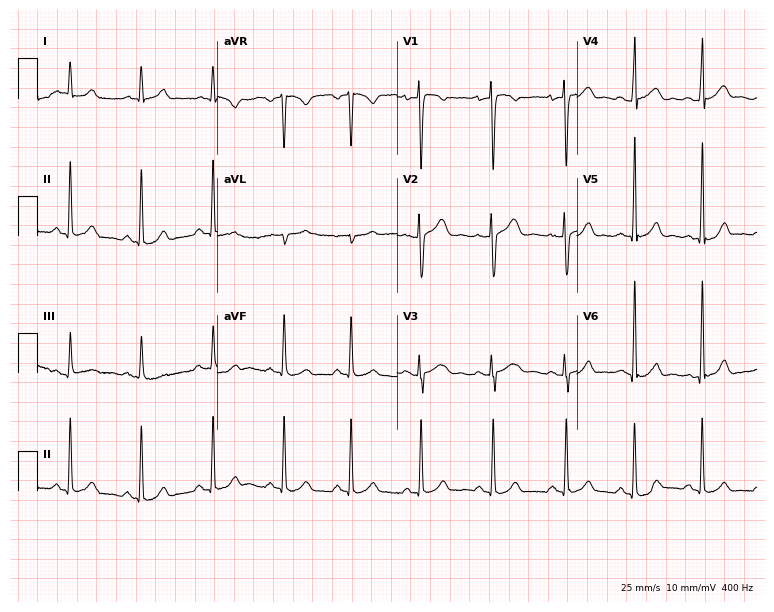
Resting 12-lead electrocardiogram. Patient: a 21-year-old female. Read as a normal ECG.